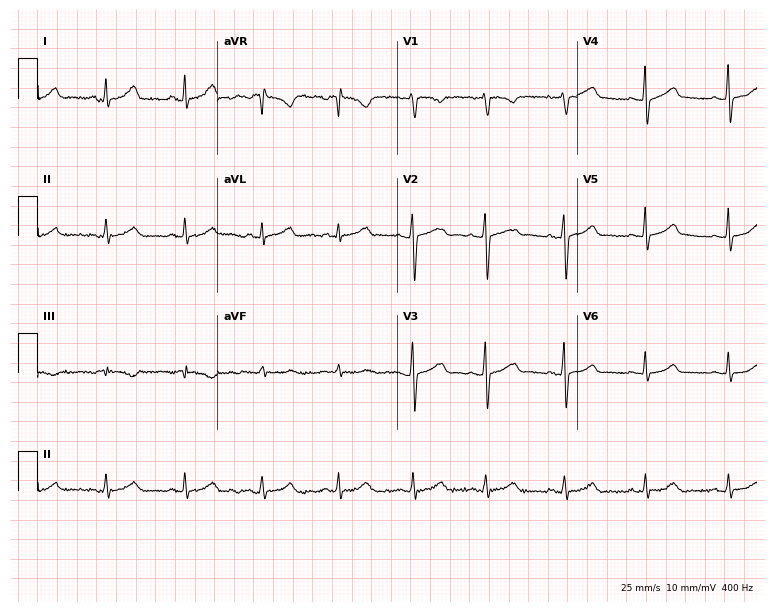
Resting 12-lead electrocardiogram. Patient: a female, 30 years old. Read as a normal ECG.